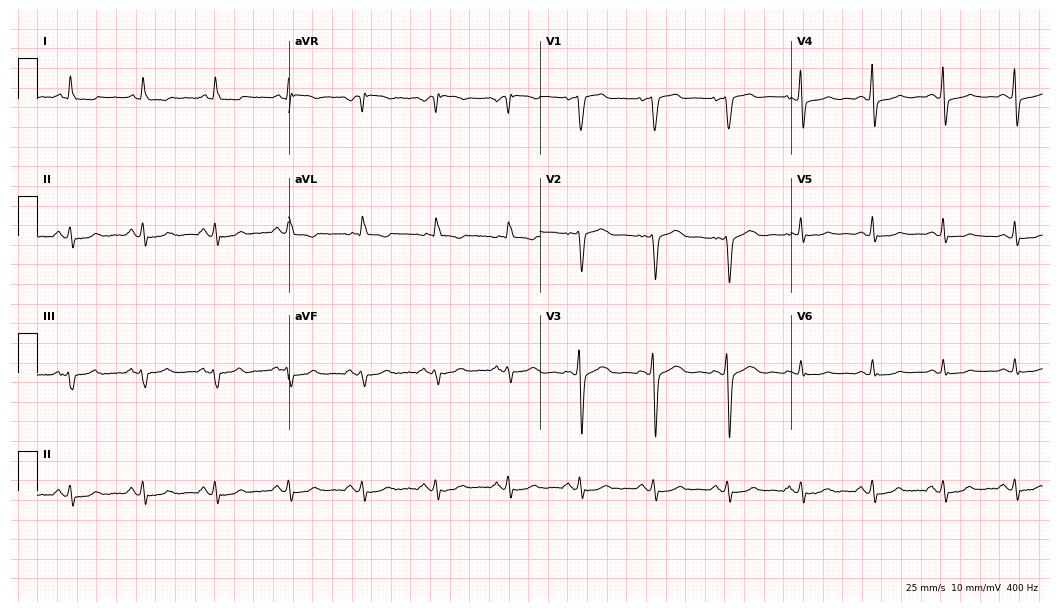
Standard 12-lead ECG recorded from a 71-year-old male (10.2-second recording at 400 Hz). None of these six findings is recorded: first-degree AV block, right bundle branch block, left bundle branch block, sinus bradycardia, atrial fibrillation, sinus tachycardia. Other findings, if any, are not listed.